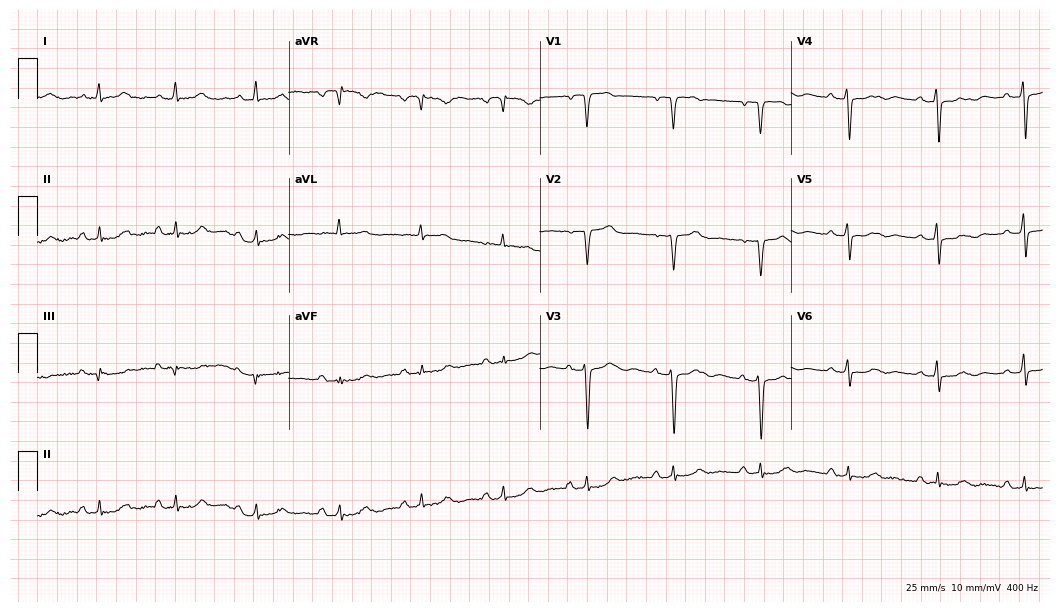
Resting 12-lead electrocardiogram (10.2-second recording at 400 Hz). Patient: a female, 57 years old. None of these six findings is recorded: first-degree AV block, right bundle branch block, left bundle branch block, sinus bradycardia, atrial fibrillation, sinus tachycardia. Other findings, if any, are not listed.